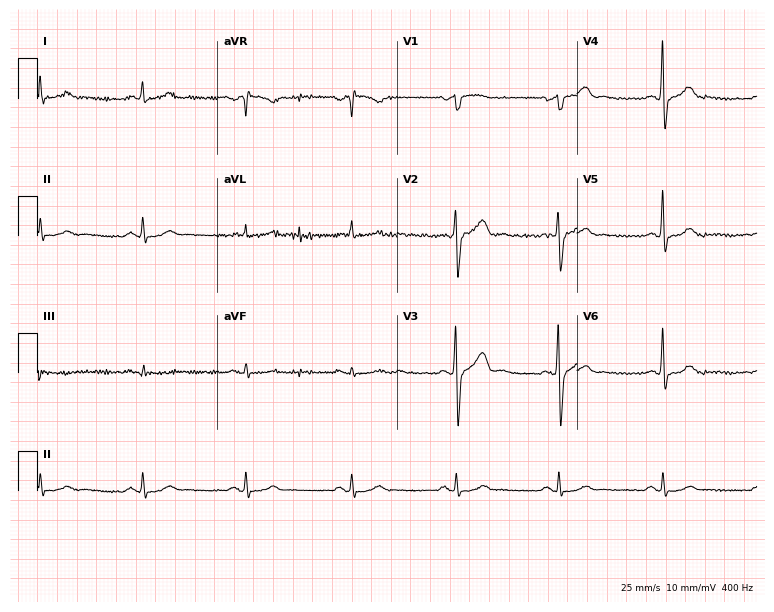
12-lead ECG (7.3-second recording at 400 Hz) from a 71-year-old male patient. Labelled as a normal ECG.